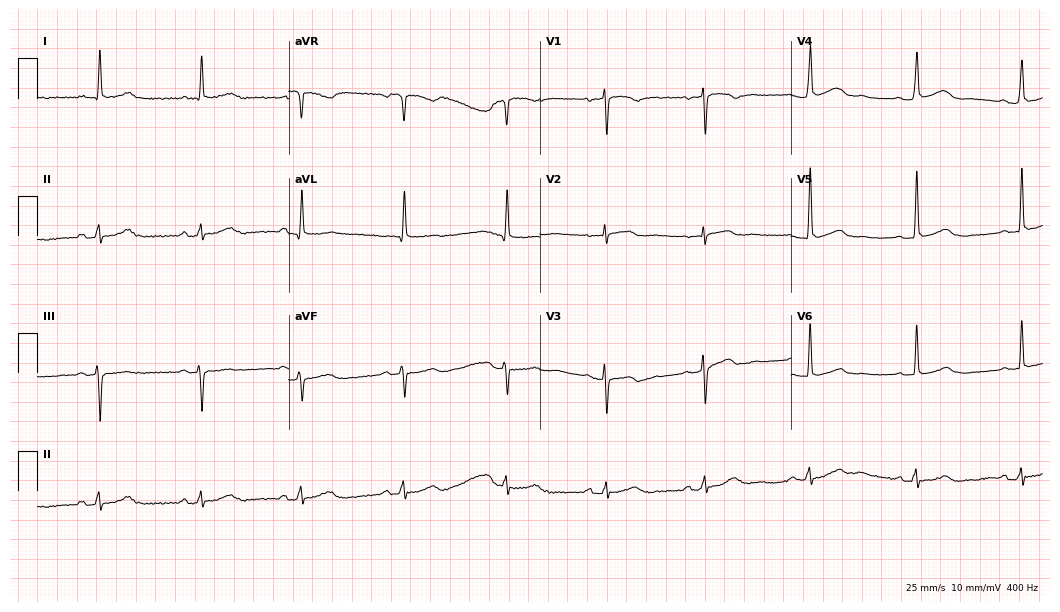
12-lead ECG from a 75-year-old woman. Labelled as a normal ECG.